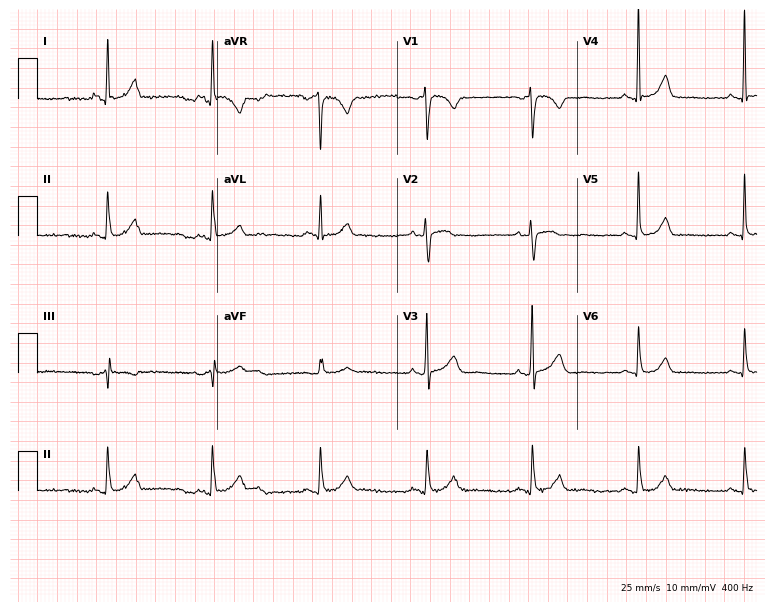
Resting 12-lead electrocardiogram (7.3-second recording at 400 Hz). Patient: a 71-year-old woman. None of these six findings is recorded: first-degree AV block, right bundle branch block, left bundle branch block, sinus bradycardia, atrial fibrillation, sinus tachycardia.